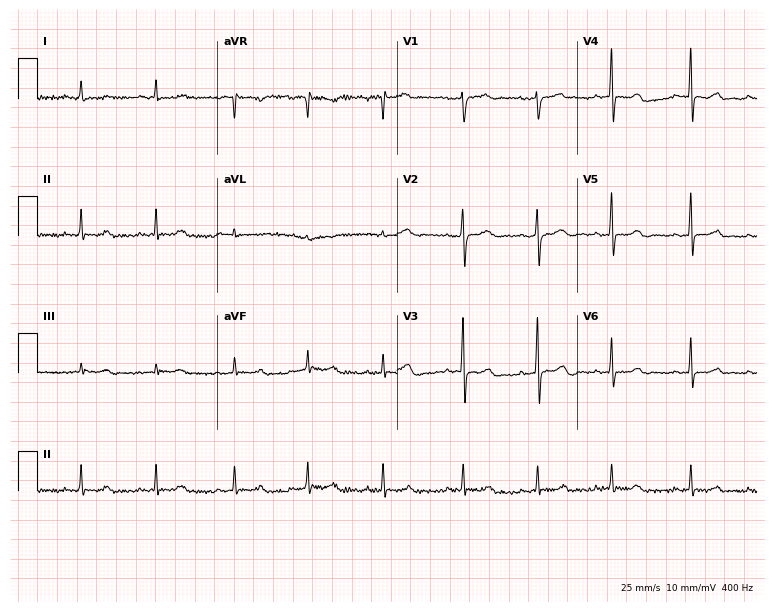
Resting 12-lead electrocardiogram (7.3-second recording at 400 Hz). Patient: a 61-year-old male. Read as a normal ECG.